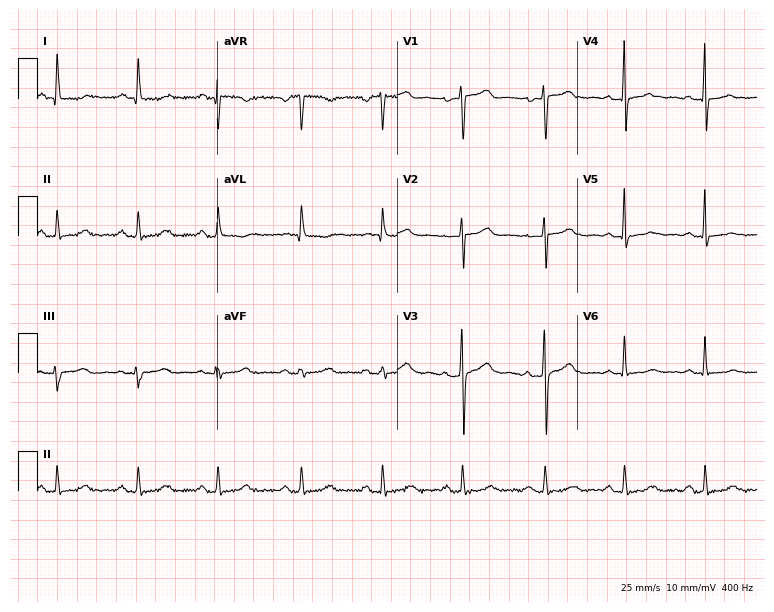
Standard 12-lead ECG recorded from a female patient, 41 years old (7.3-second recording at 400 Hz). None of these six findings is recorded: first-degree AV block, right bundle branch block, left bundle branch block, sinus bradycardia, atrial fibrillation, sinus tachycardia. Other findings, if any, are not listed.